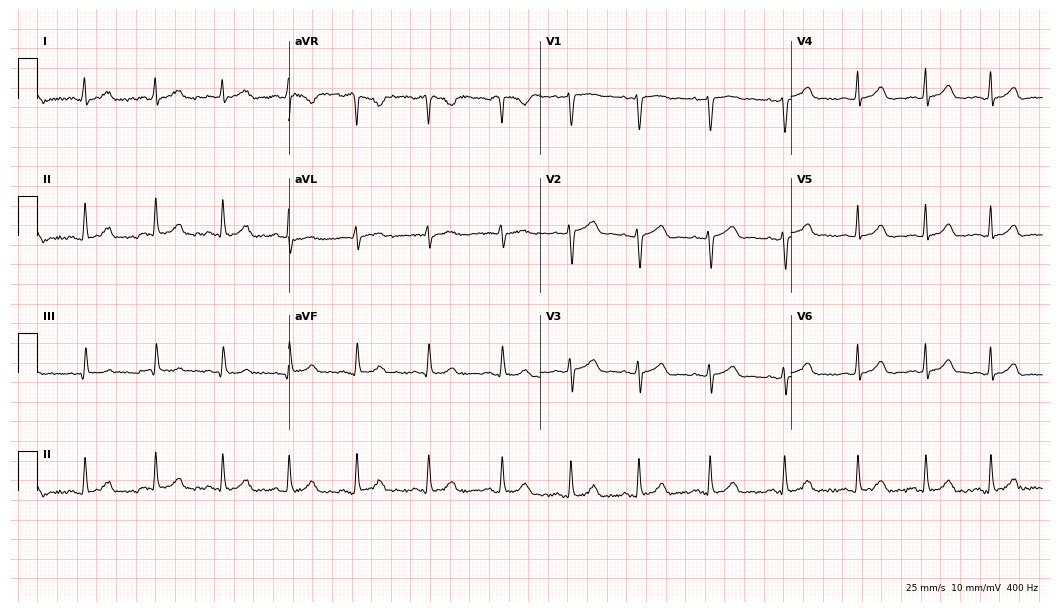
12-lead ECG from a female patient, 34 years old. Recorded interpretation: within normal limits.